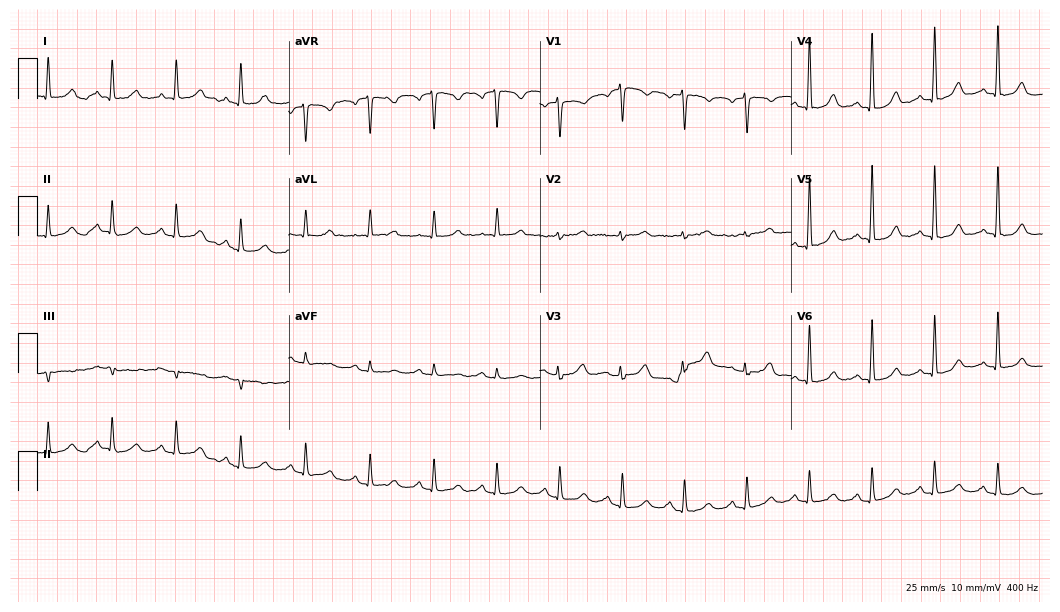
12-lead ECG (10.2-second recording at 400 Hz) from a 71-year-old female. Labelled as a normal ECG.